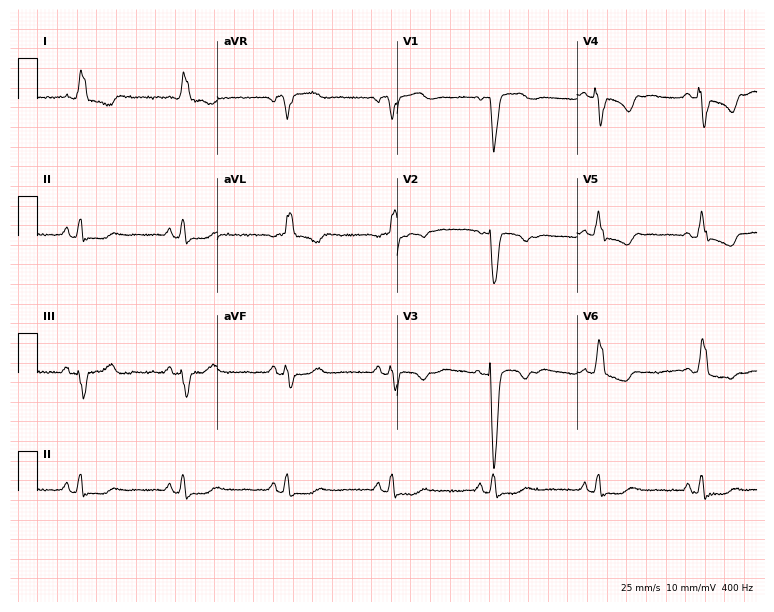
ECG — a female, 75 years old. Findings include left bundle branch block.